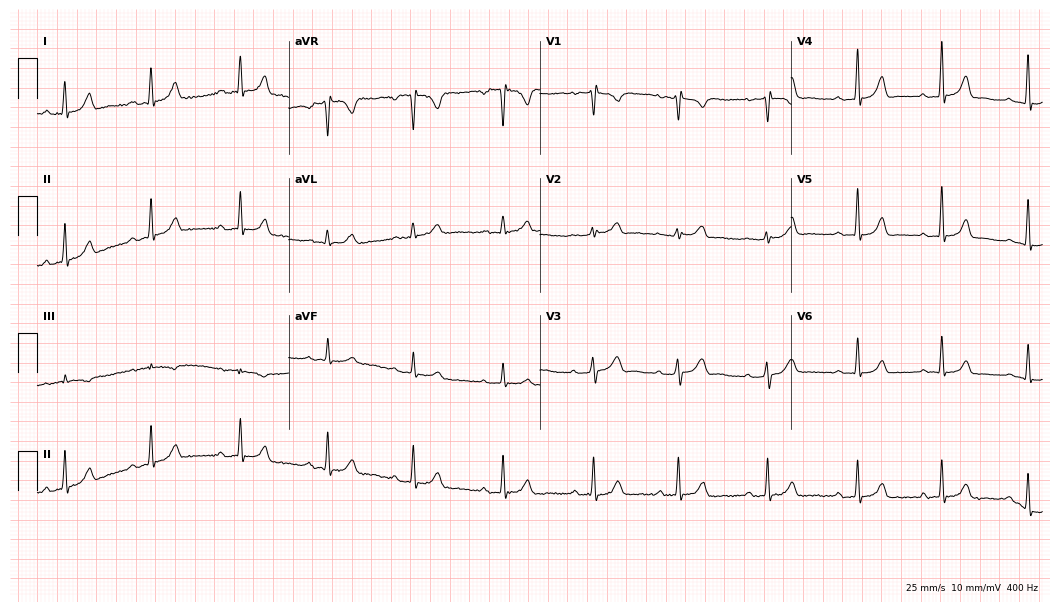
12-lead ECG from a woman, 33 years old. No first-degree AV block, right bundle branch block, left bundle branch block, sinus bradycardia, atrial fibrillation or sinus tachycardia recorded for this tracing.